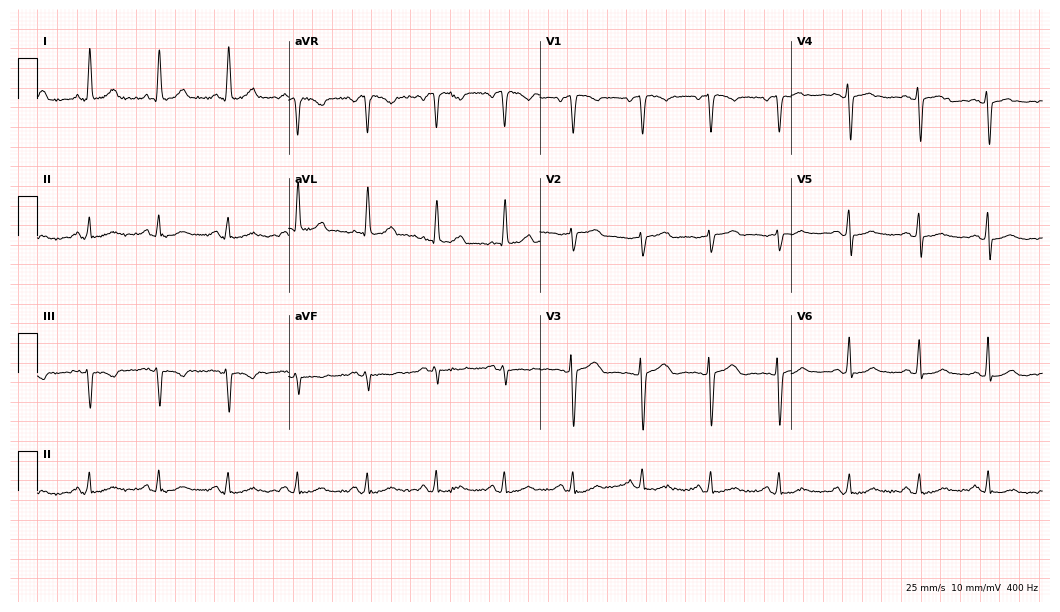
ECG (10.2-second recording at 400 Hz) — a 59-year-old female. Labelled as a normal ECG.